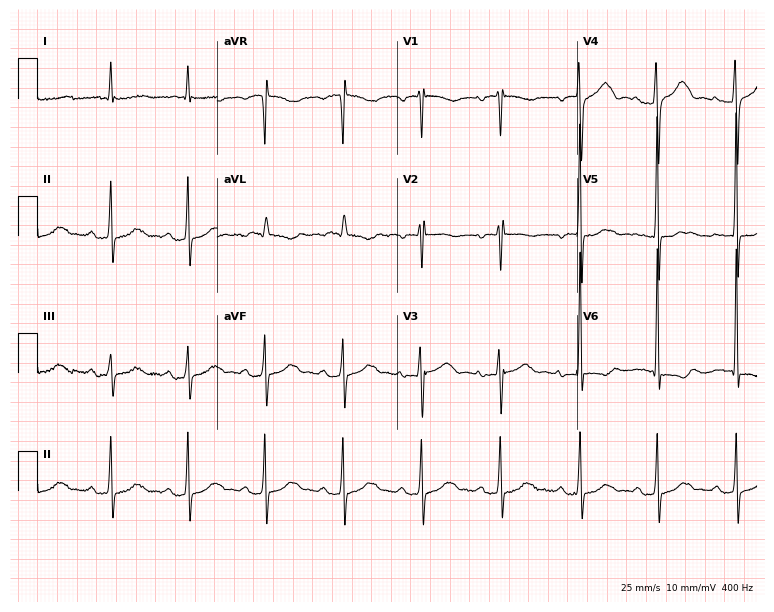
Electrocardiogram, an 83-year-old female patient. Of the six screened findings (first-degree AV block, right bundle branch block (RBBB), left bundle branch block (LBBB), sinus bradycardia, atrial fibrillation (AF), sinus tachycardia), none is recorded.